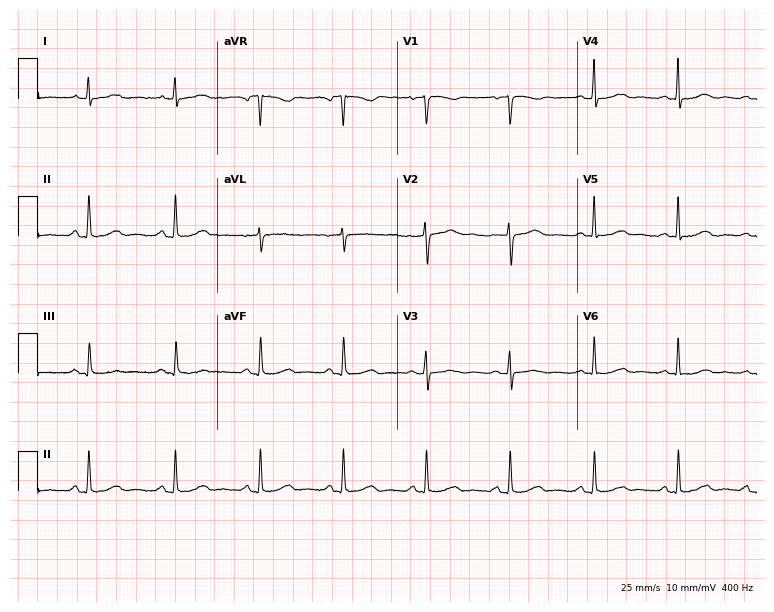
12-lead ECG (7.3-second recording at 400 Hz) from a 38-year-old woman. Labelled as a normal ECG.